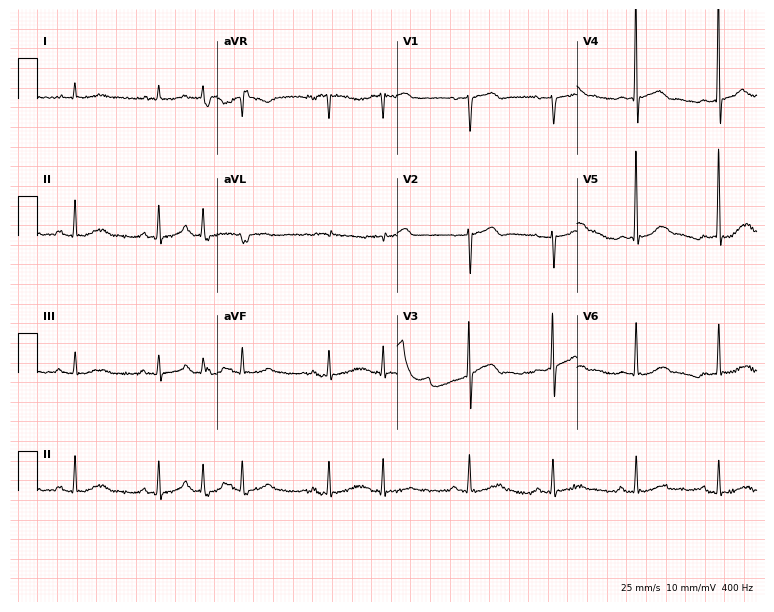
Standard 12-lead ECG recorded from a male patient, 84 years old (7.3-second recording at 400 Hz). None of these six findings is recorded: first-degree AV block, right bundle branch block, left bundle branch block, sinus bradycardia, atrial fibrillation, sinus tachycardia.